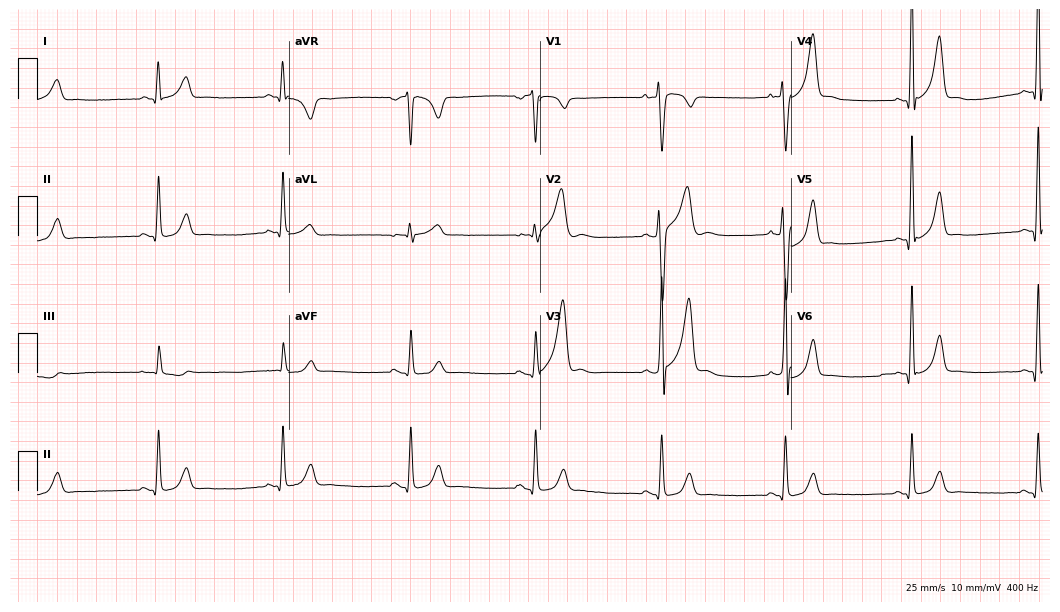
12-lead ECG from a 33-year-old male patient. Shows sinus bradycardia (a sinus rate of 50 beats per minute or less).